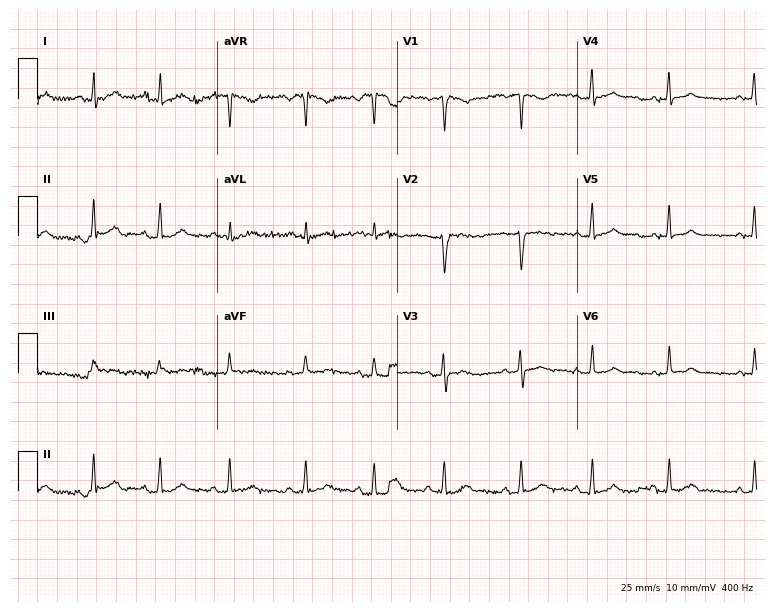
12-lead ECG (7.3-second recording at 400 Hz) from a female, 17 years old. Labelled as a normal ECG.